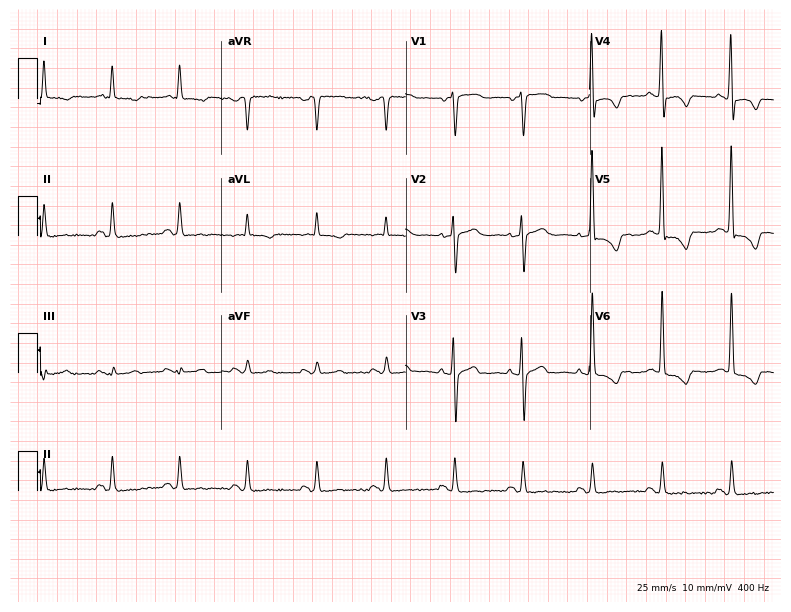
Standard 12-lead ECG recorded from a 78-year-old man (7.5-second recording at 400 Hz). None of these six findings is recorded: first-degree AV block, right bundle branch block (RBBB), left bundle branch block (LBBB), sinus bradycardia, atrial fibrillation (AF), sinus tachycardia. Only these six findings were labelled.